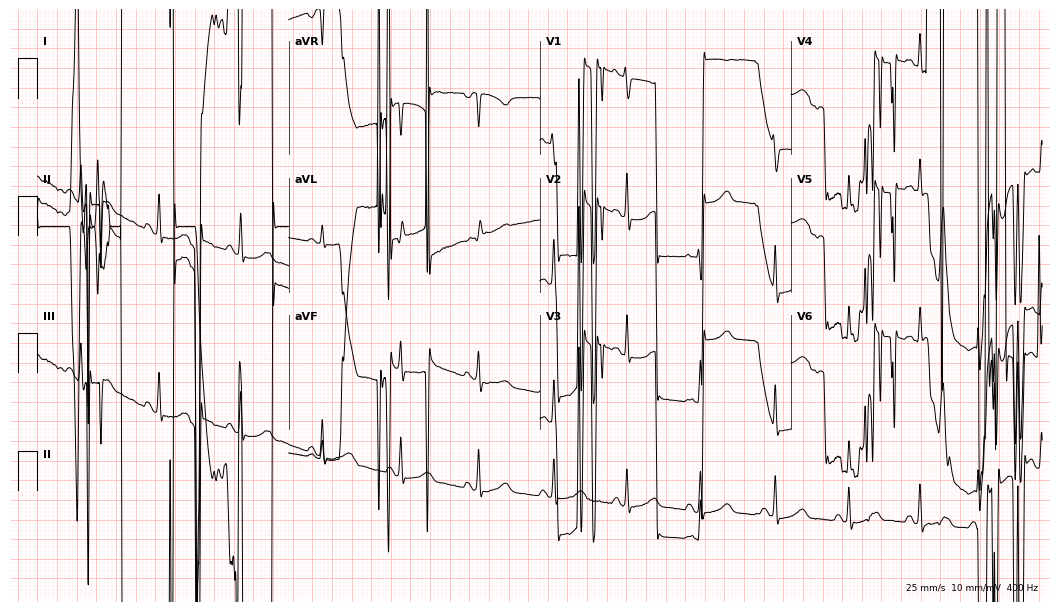
12-lead ECG from a female, 32 years old. Screened for six findings — first-degree AV block, right bundle branch block, left bundle branch block, sinus bradycardia, atrial fibrillation, sinus tachycardia — none is recorded.